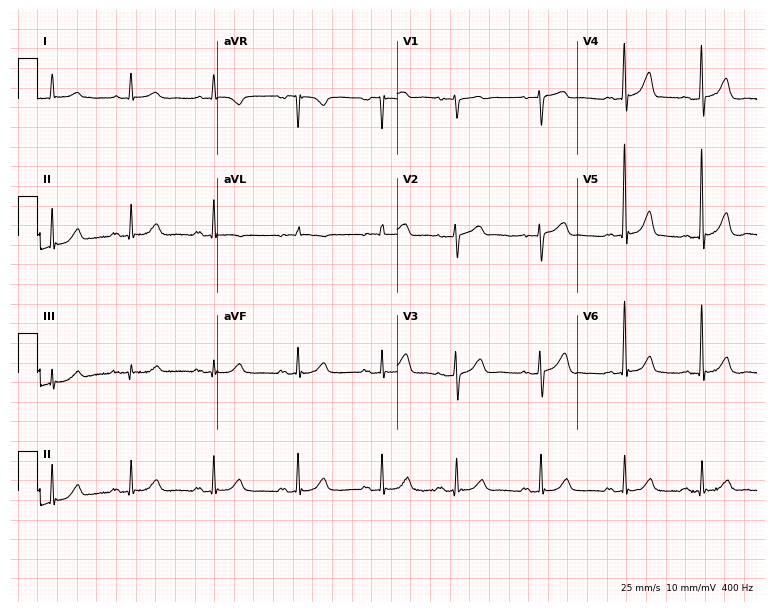
Electrocardiogram, a female patient, 82 years old. Overall reading on record: normal ECG.